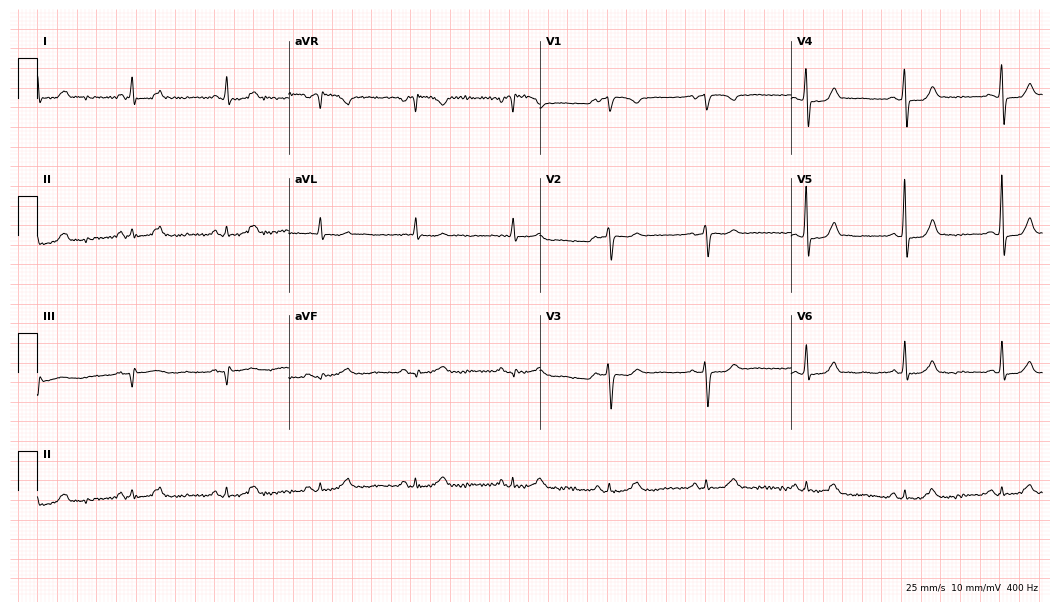
12-lead ECG from a woman, 68 years old. Recorded interpretation: within normal limits.